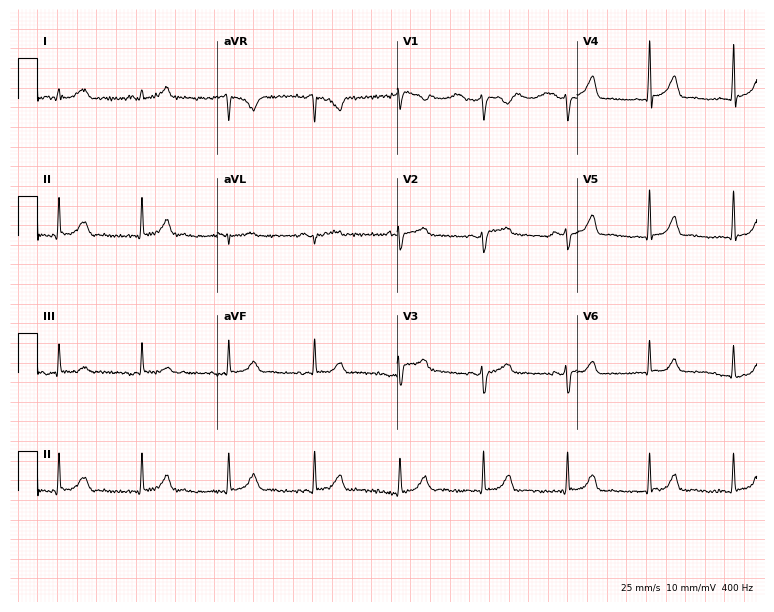
12-lead ECG from a 25-year-old female patient (7.3-second recording at 400 Hz). No first-degree AV block, right bundle branch block, left bundle branch block, sinus bradycardia, atrial fibrillation or sinus tachycardia recorded for this tracing. Other findings, if any, are not listed.